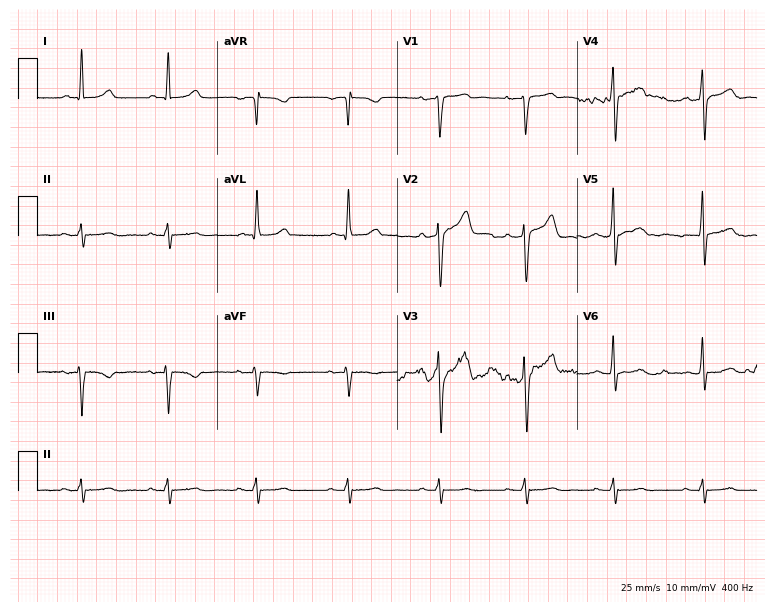
12-lead ECG from a 45-year-old male. No first-degree AV block, right bundle branch block, left bundle branch block, sinus bradycardia, atrial fibrillation or sinus tachycardia recorded for this tracing. Other findings, if any, are not listed.